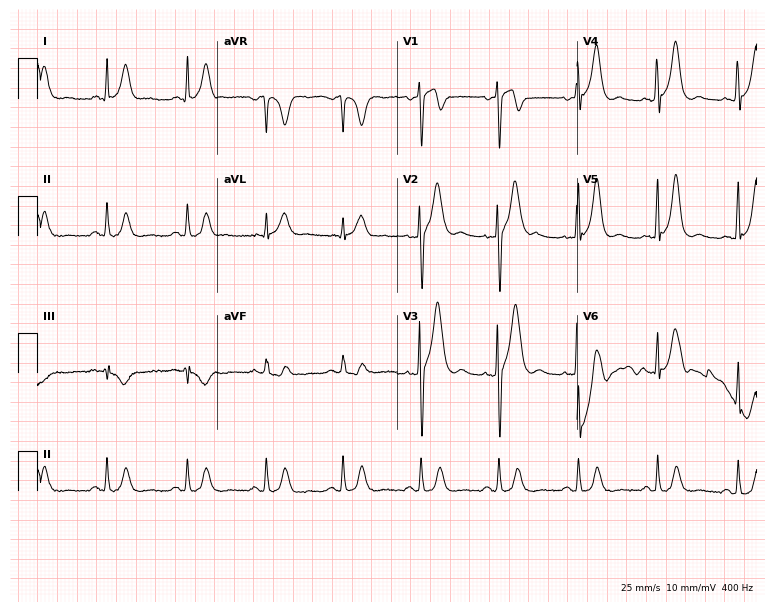
12-lead ECG from a male, 49 years old (7.3-second recording at 400 Hz). No first-degree AV block, right bundle branch block (RBBB), left bundle branch block (LBBB), sinus bradycardia, atrial fibrillation (AF) or sinus tachycardia recorded for this tracing. Other findings, if any, are not listed.